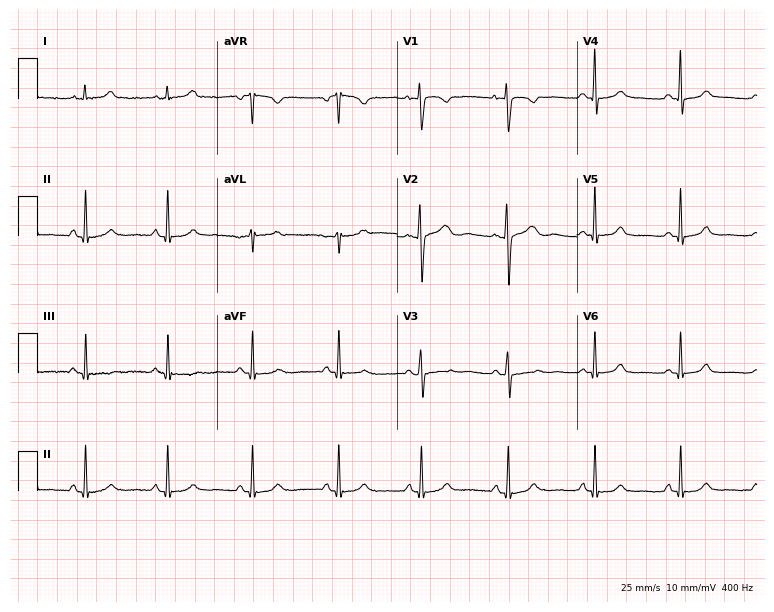
Standard 12-lead ECG recorded from a woman, 28 years old (7.3-second recording at 400 Hz). Read as a normal ECG.